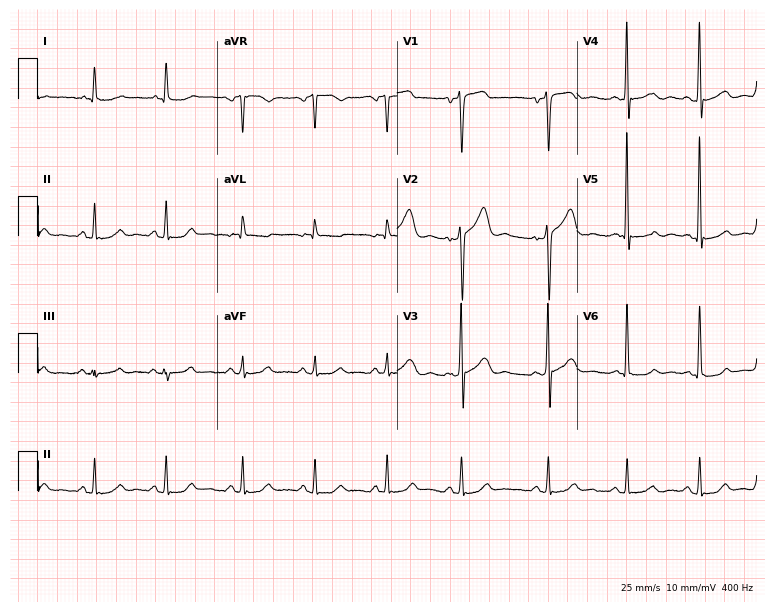
12-lead ECG (7.3-second recording at 400 Hz) from a man, 61 years old. Labelled as a normal ECG.